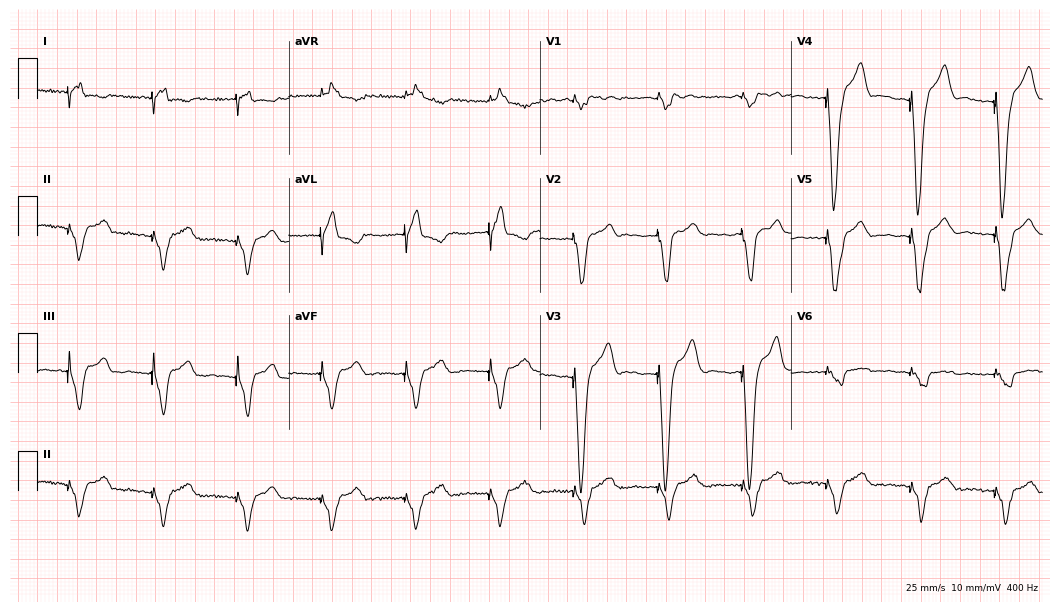
12-lead ECG from a female patient, 74 years old. Screened for six findings — first-degree AV block, right bundle branch block, left bundle branch block, sinus bradycardia, atrial fibrillation, sinus tachycardia — none is recorded.